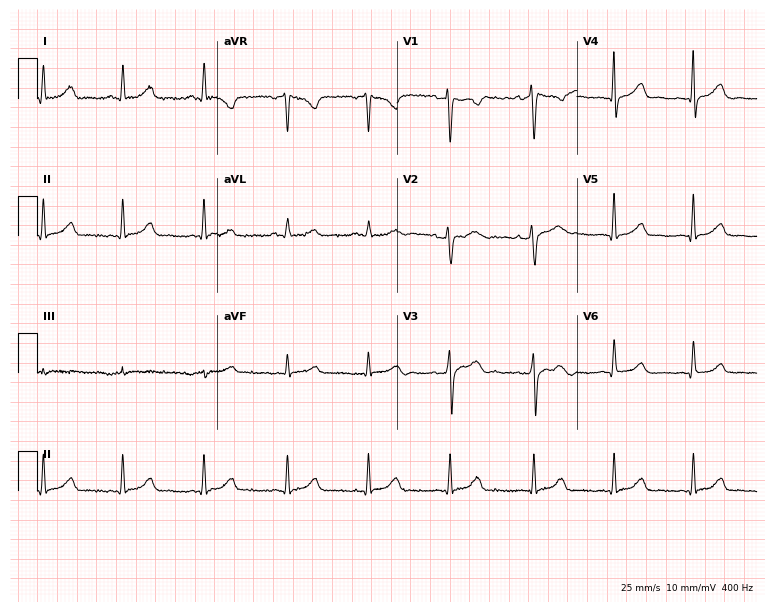
Standard 12-lead ECG recorded from a female, 50 years old (7.3-second recording at 400 Hz). Read as a normal ECG.